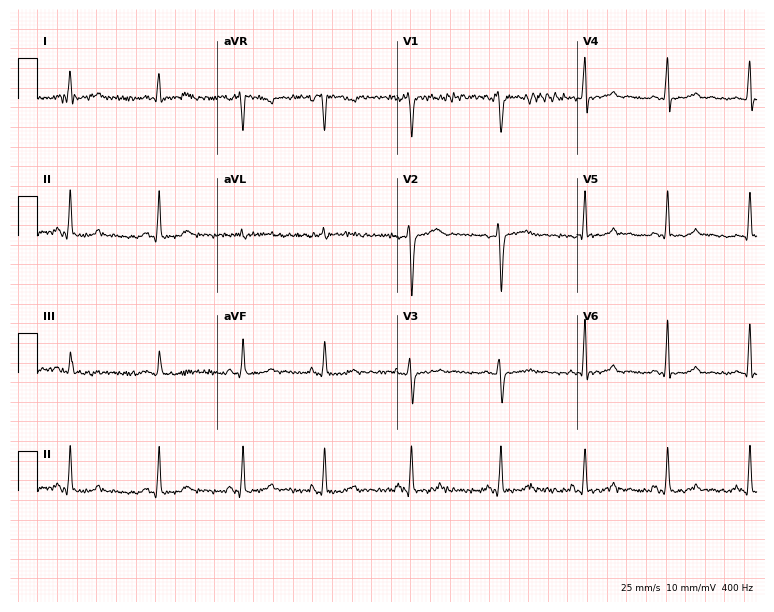
Resting 12-lead electrocardiogram (7.3-second recording at 400 Hz). Patient: a 39-year-old female. Read as a normal ECG.